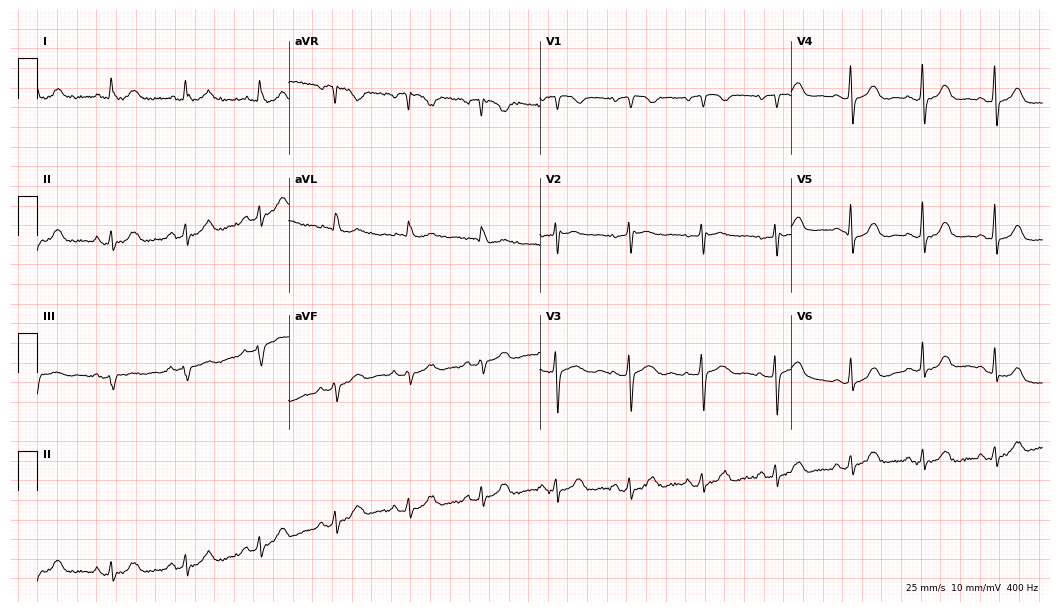
Standard 12-lead ECG recorded from a 72-year-old woman. Read as a normal ECG.